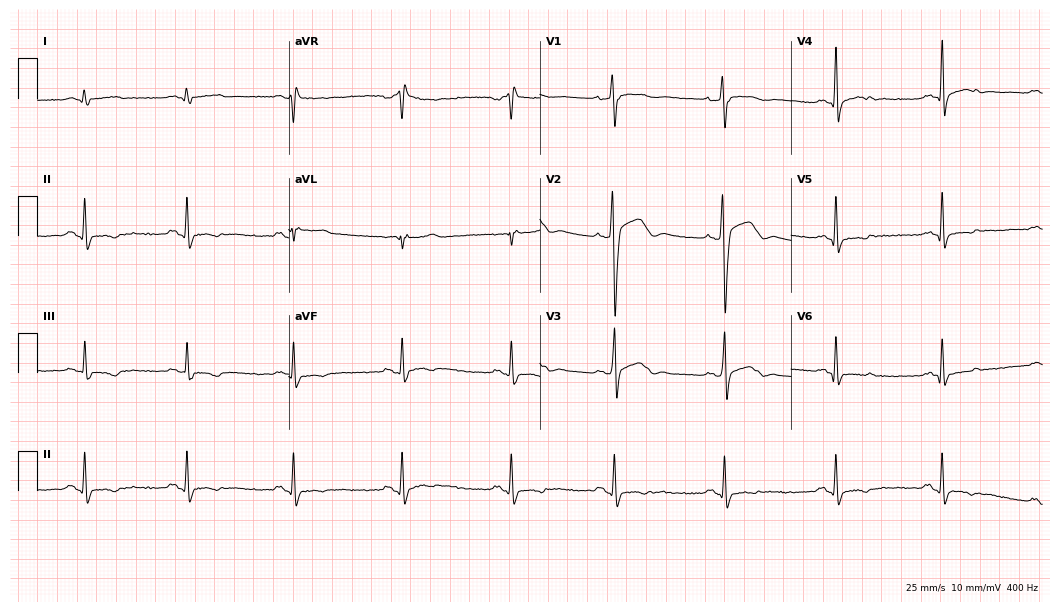
Standard 12-lead ECG recorded from a 26-year-old male (10.2-second recording at 400 Hz). None of these six findings is recorded: first-degree AV block, right bundle branch block, left bundle branch block, sinus bradycardia, atrial fibrillation, sinus tachycardia.